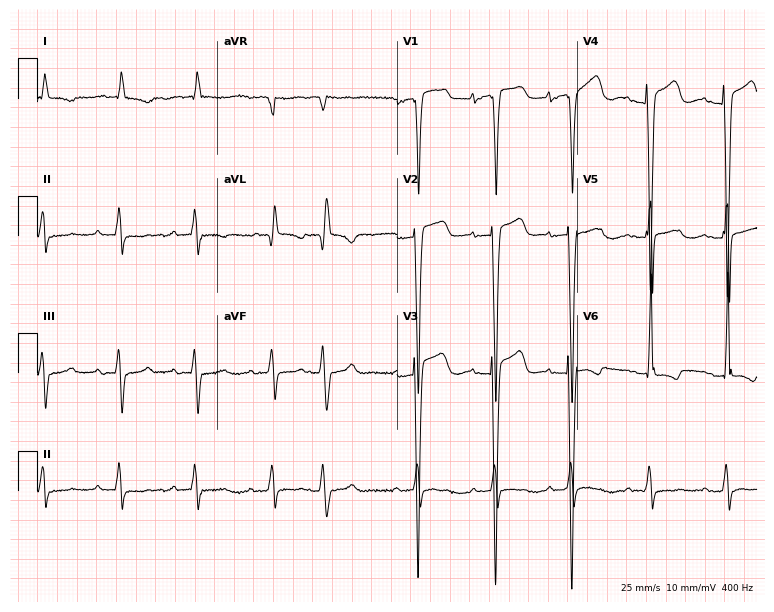
Electrocardiogram (7.3-second recording at 400 Hz), a 76-year-old male patient. Interpretation includes first-degree AV block.